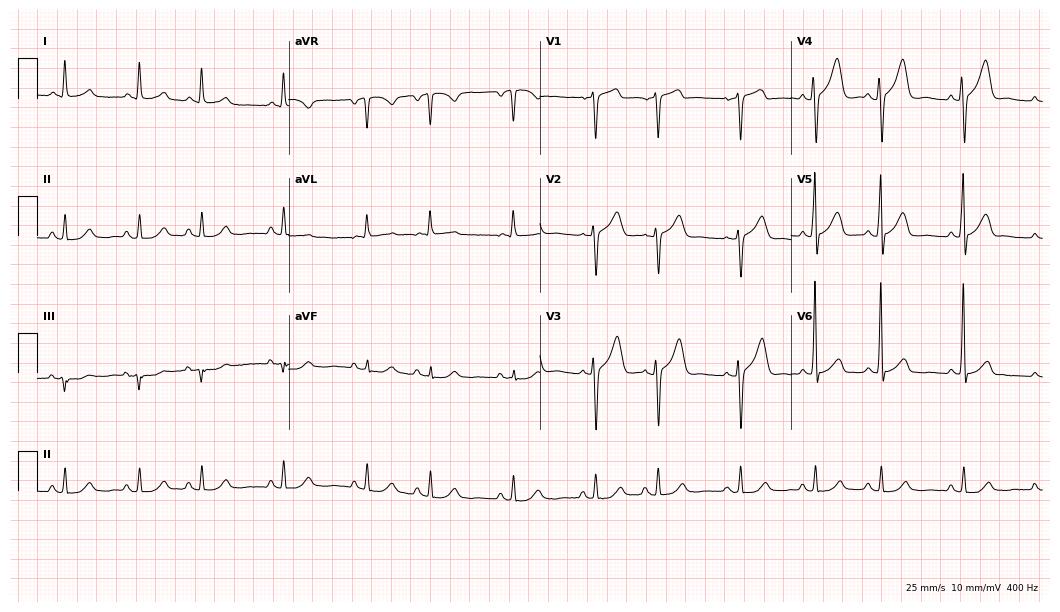
12-lead ECG from a 78-year-old male patient (10.2-second recording at 400 Hz). No first-degree AV block, right bundle branch block, left bundle branch block, sinus bradycardia, atrial fibrillation or sinus tachycardia recorded for this tracing.